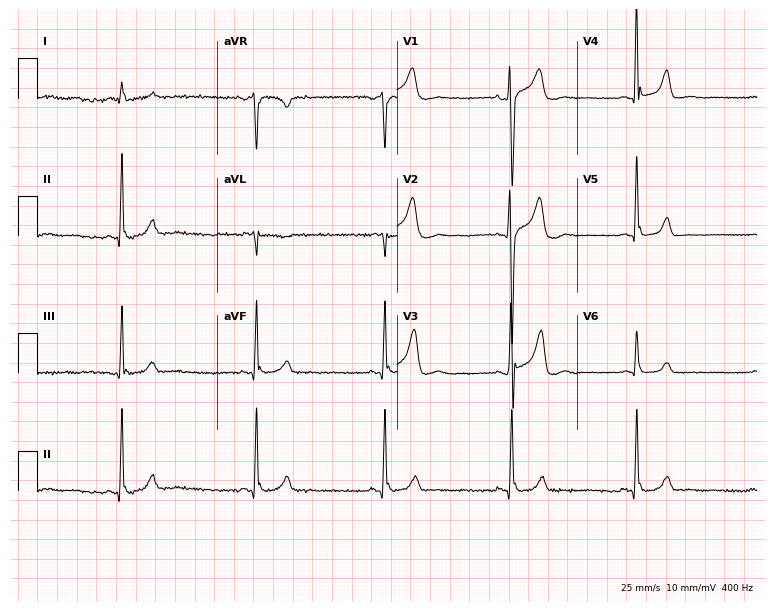
12-lead ECG from a 48-year-old male. Shows sinus bradycardia (a sinus rate of 50 beats per minute or less).